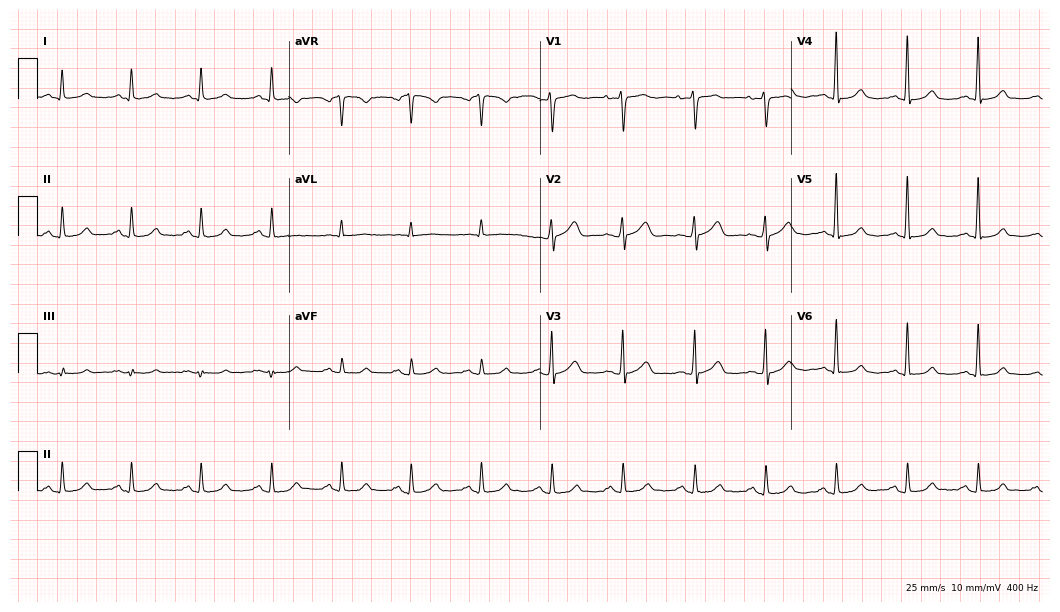
12-lead ECG from a 64-year-old female patient (10.2-second recording at 400 Hz). No first-degree AV block, right bundle branch block, left bundle branch block, sinus bradycardia, atrial fibrillation or sinus tachycardia recorded for this tracing. Findings outside these six are not listed.